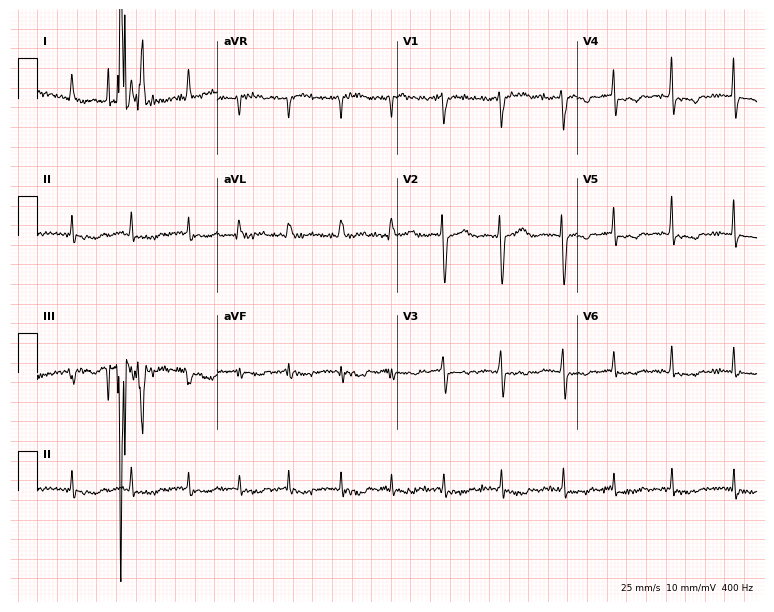
12-lead ECG from a 79-year-old female patient (7.3-second recording at 400 Hz). No first-degree AV block, right bundle branch block, left bundle branch block, sinus bradycardia, atrial fibrillation or sinus tachycardia recorded for this tracing.